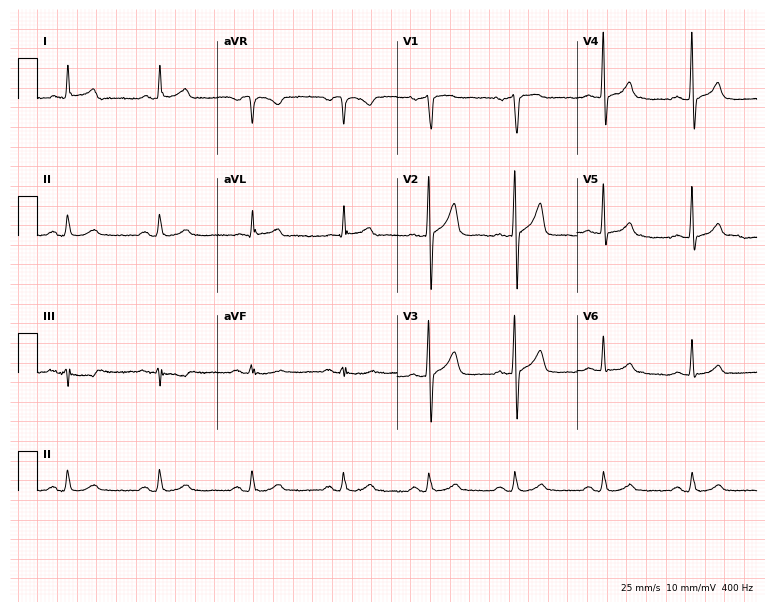
12-lead ECG from a male, 65 years old. Labelled as a normal ECG.